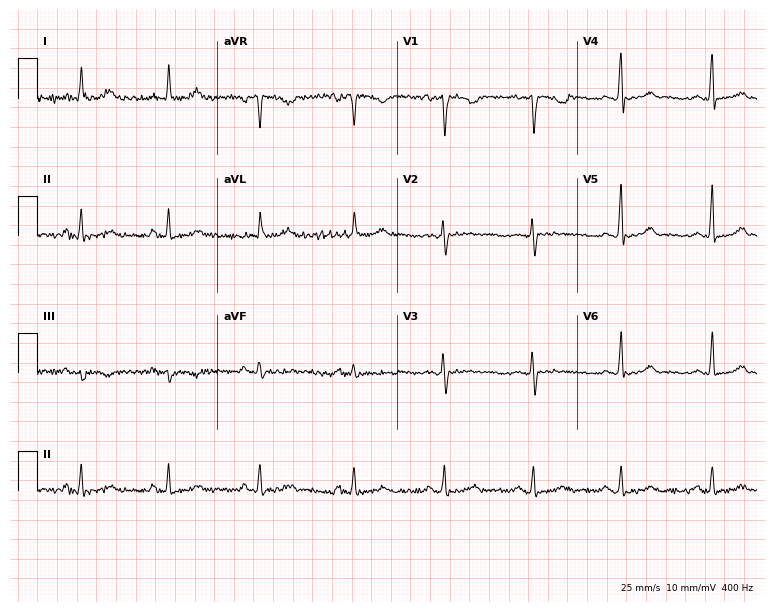
ECG — a 37-year-old woman. Screened for six findings — first-degree AV block, right bundle branch block, left bundle branch block, sinus bradycardia, atrial fibrillation, sinus tachycardia — none is recorded.